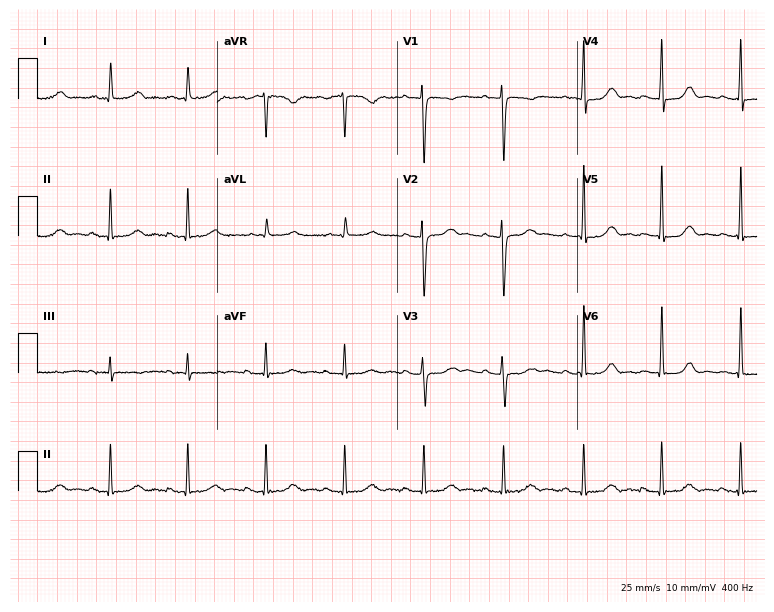
12-lead ECG (7.3-second recording at 400 Hz) from a female, 59 years old. Screened for six findings — first-degree AV block, right bundle branch block (RBBB), left bundle branch block (LBBB), sinus bradycardia, atrial fibrillation (AF), sinus tachycardia — none is recorded. Only these six findings were labelled.